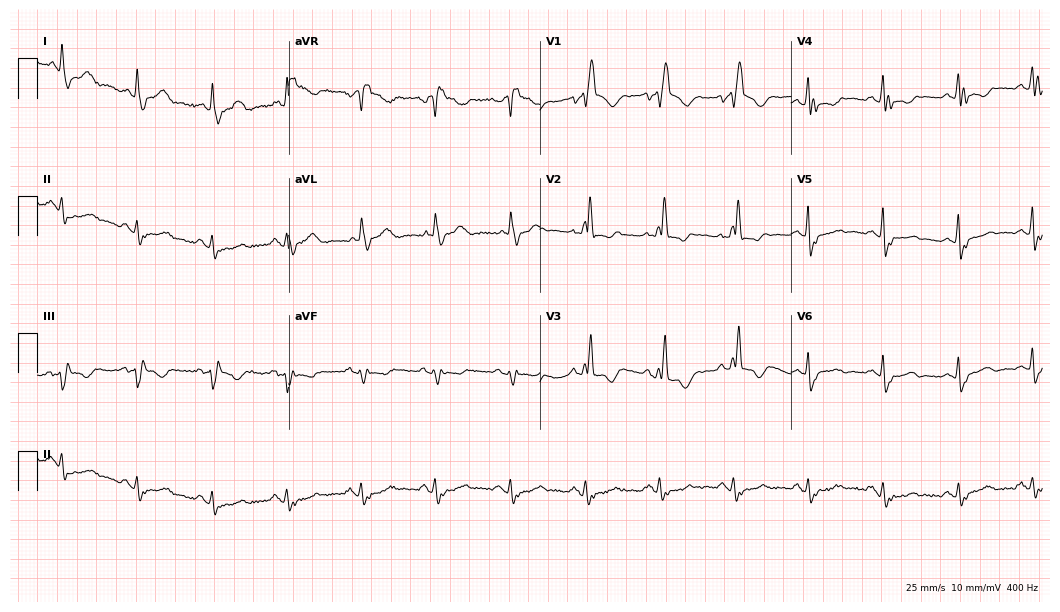
ECG (10.2-second recording at 400 Hz) — a woman, 84 years old. Findings include right bundle branch block (RBBB).